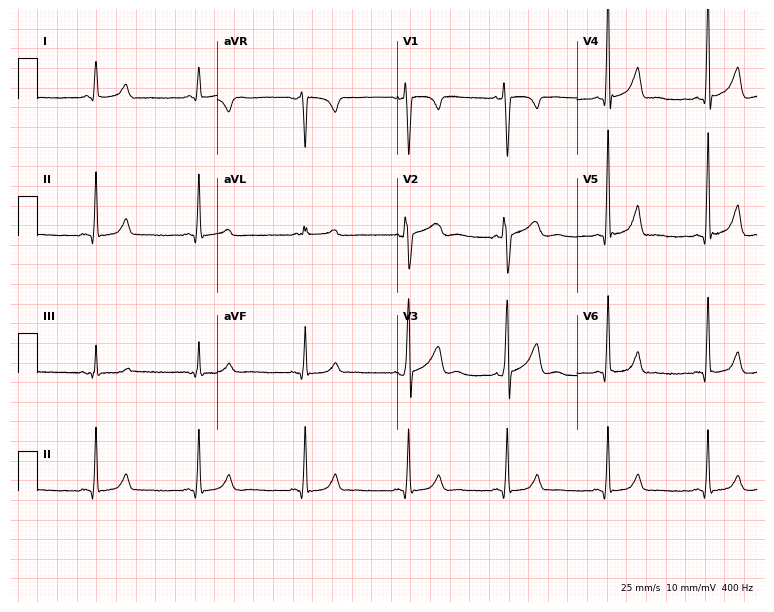
ECG — a male patient, 42 years old. Labelled as a normal ECG.